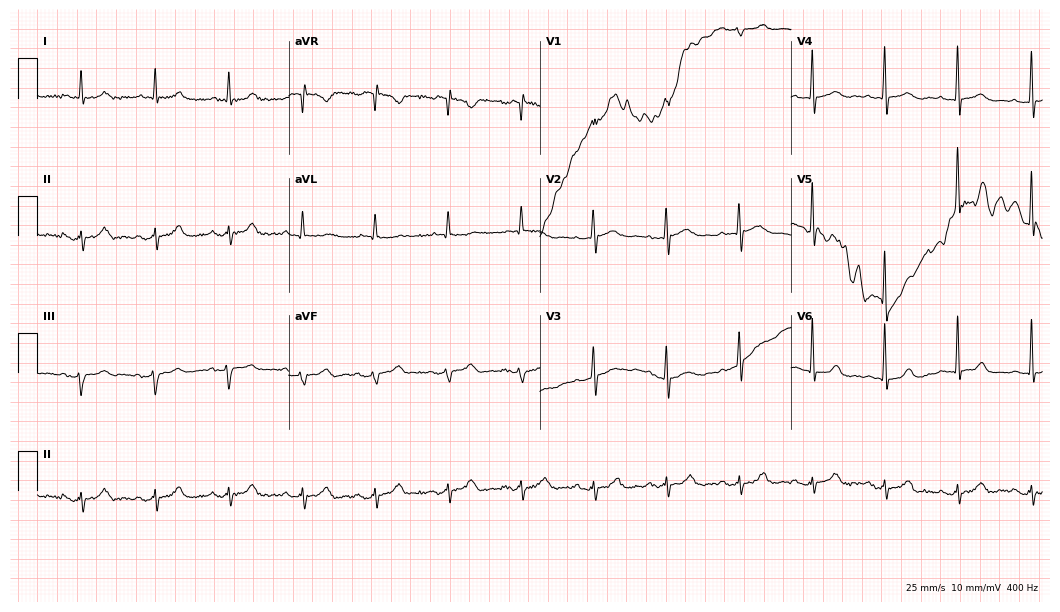
Resting 12-lead electrocardiogram (10.2-second recording at 400 Hz). Patient: an 82-year-old female. None of these six findings is recorded: first-degree AV block, right bundle branch block (RBBB), left bundle branch block (LBBB), sinus bradycardia, atrial fibrillation (AF), sinus tachycardia.